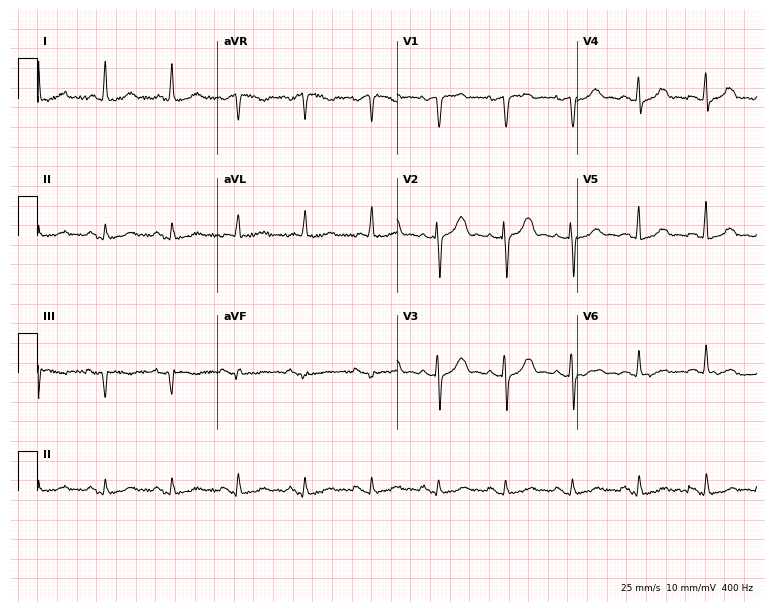
Resting 12-lead electrocardiogram. Patient: a woman, 81 years old. Read as a normal ECG.